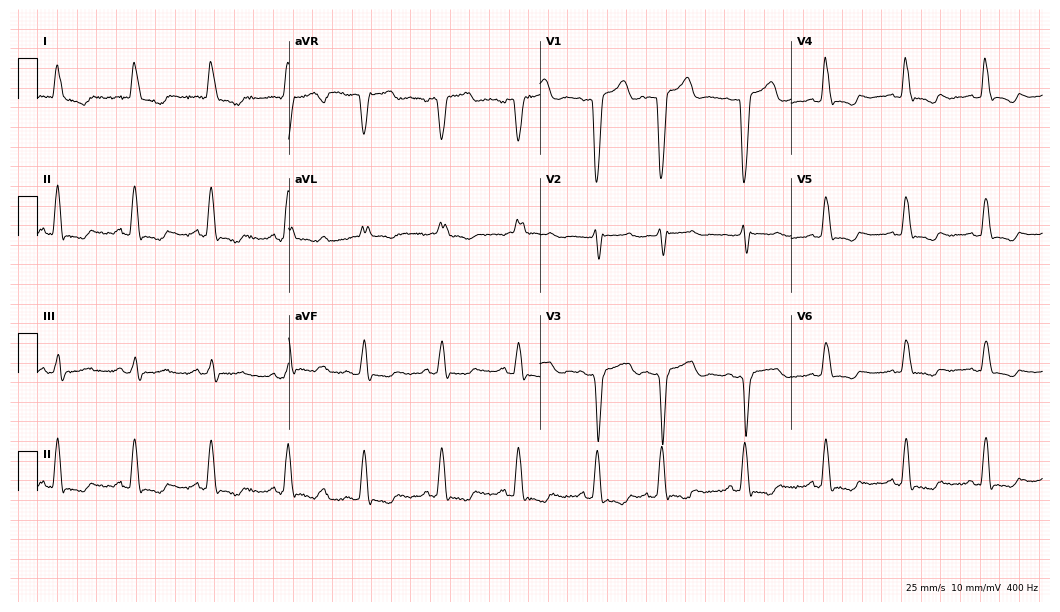
Electrocardiogram (10.2-second recording at 400 Hz), a female, 84 years old. Interpretation includes left bundle branch block.